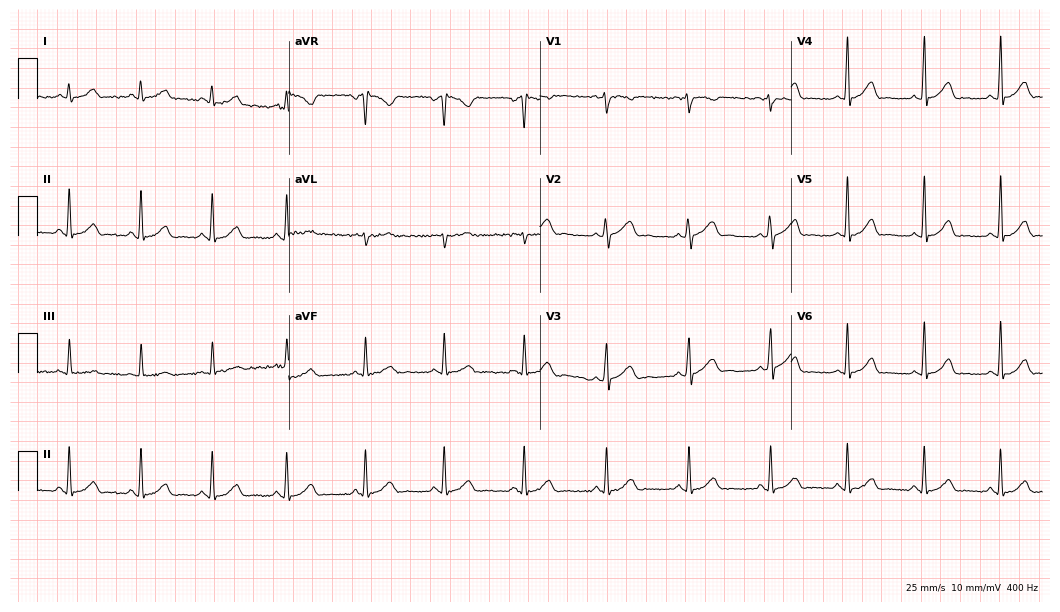
12-lead ECG from a woman, 35 years old (10.2-second recording at 400 Hz). Recorded interpretation: within normal limits.